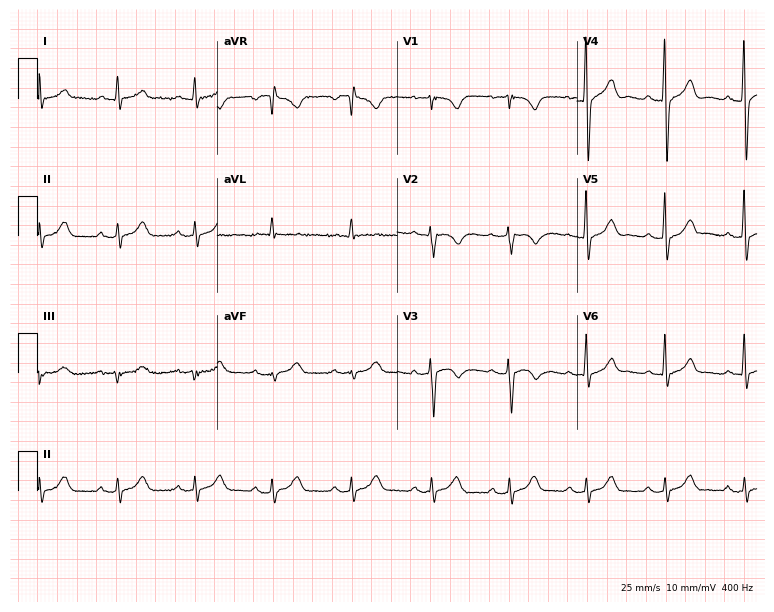
12-lead ECG (7.3-second recording at 400 Hz) from a male patient, 55 years old. Labelled as a normal ECG.